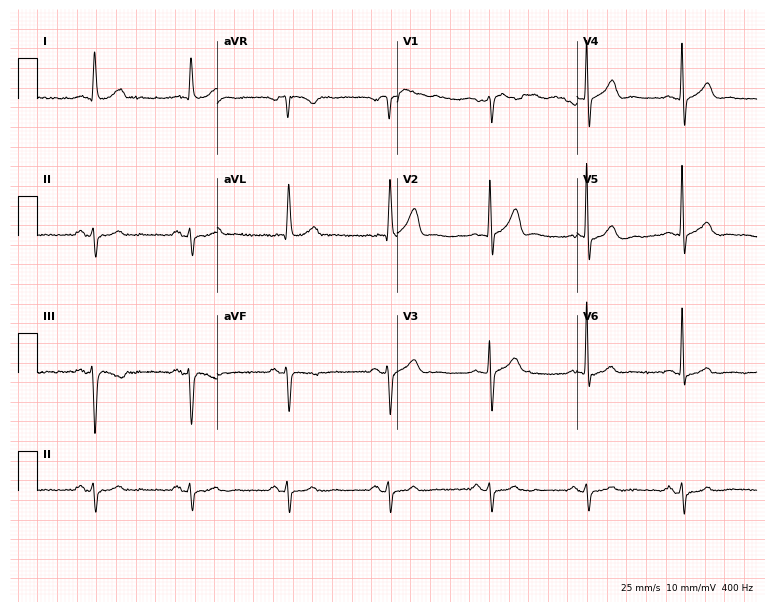
ECG — an 80-year-old female. Screened for six findings — first-degree AV block, right bundle branch block (RBBB), left bundle branch block (LBBB), sinus bradycardia, atrial fibrillation (AF), sinus tachycardia — none is recorded. Findings outside these six are not listed.